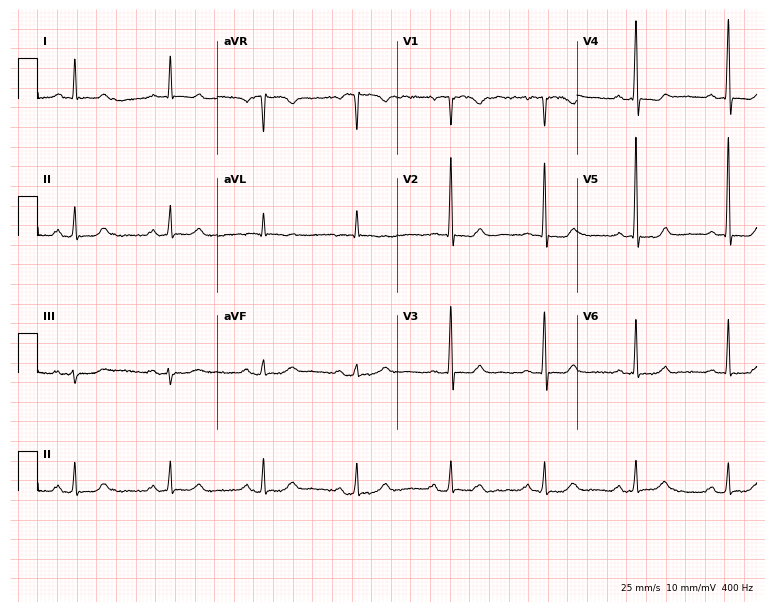
Resting 12-lead electrocardiogram (7.3-second recording at 400 Hz). Patient: a 73-year-old woman. Read as a normal ECG.